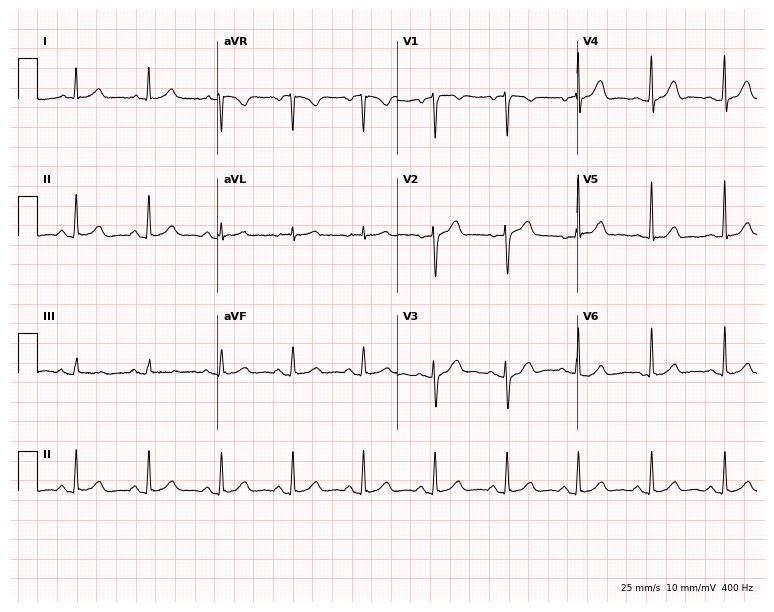
Electrocardiogram (7.3-second recording at 400 Hz), a female, 50 years old. Overall reading on record: normal ECG.